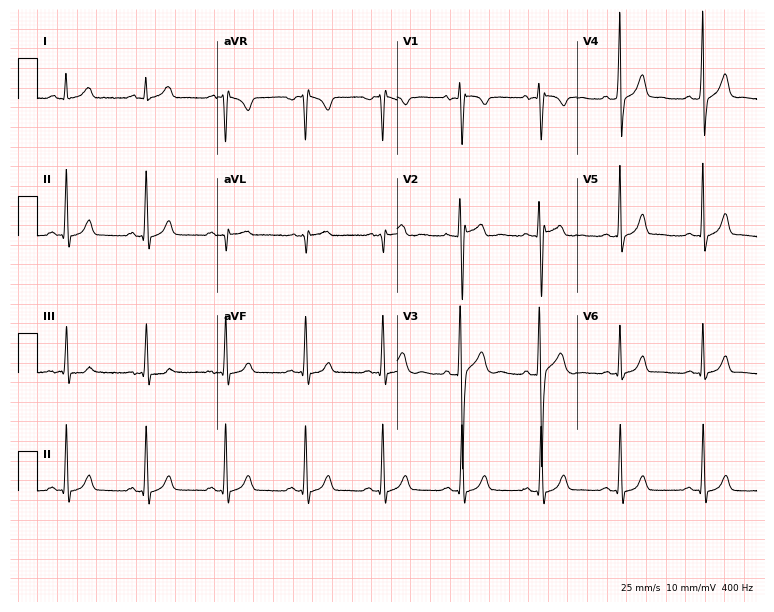
12-lead ECG from a 24-year-old male. Recorded interpretation: within normal limits.